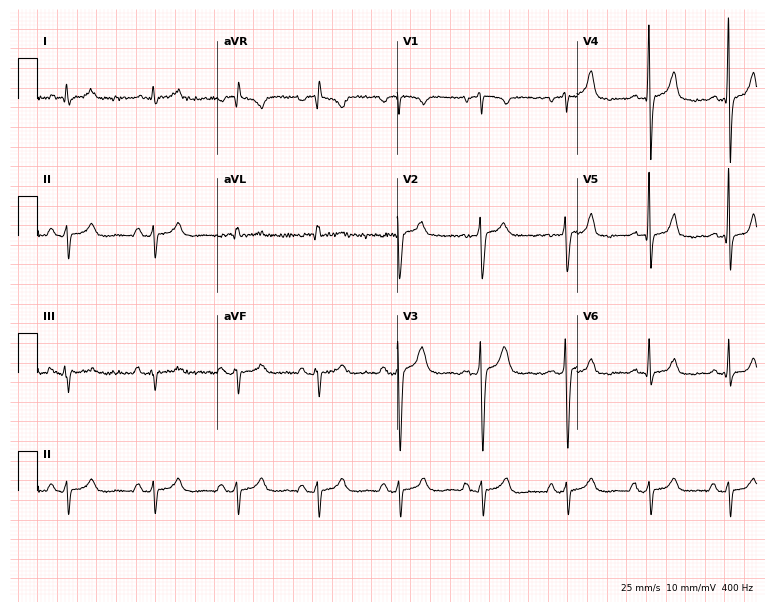
Standard 12-lead ECG recorded from a 41-year-old man (7.3-second recording at 400 Hz). None of these six findings is recorded: first-degree AV block, right bundle branch block (RBBB), left bundle branch block (LBBB), sinus bradycardia, atrial fibrillation (AF), sinus tachycardia. Other findings, if any, are not listed.